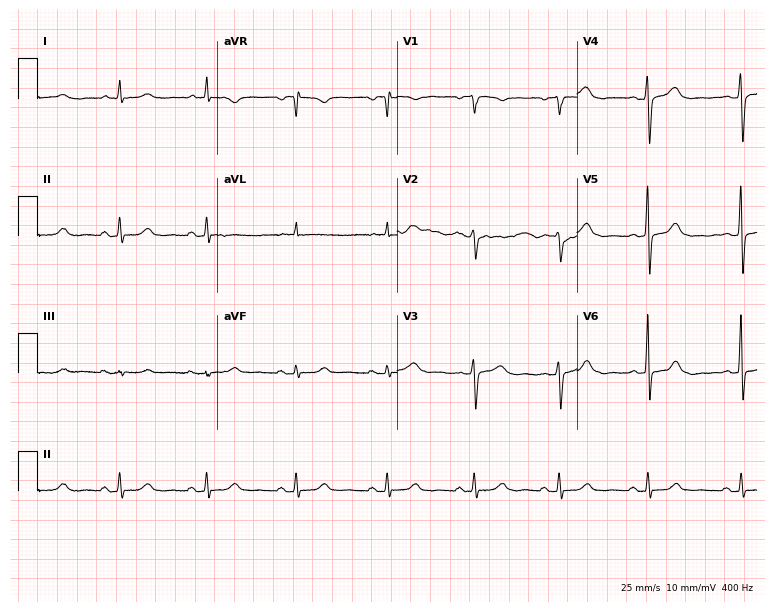
12-lead ECG from a 51-year-old woman (7.3-second recording at 400 Hz). No first-degree AV block, right bundle branch block, left bundle branch block, sinus bradycardia, atrial fibrillation or sinus tachycardia recorded for this tracing.